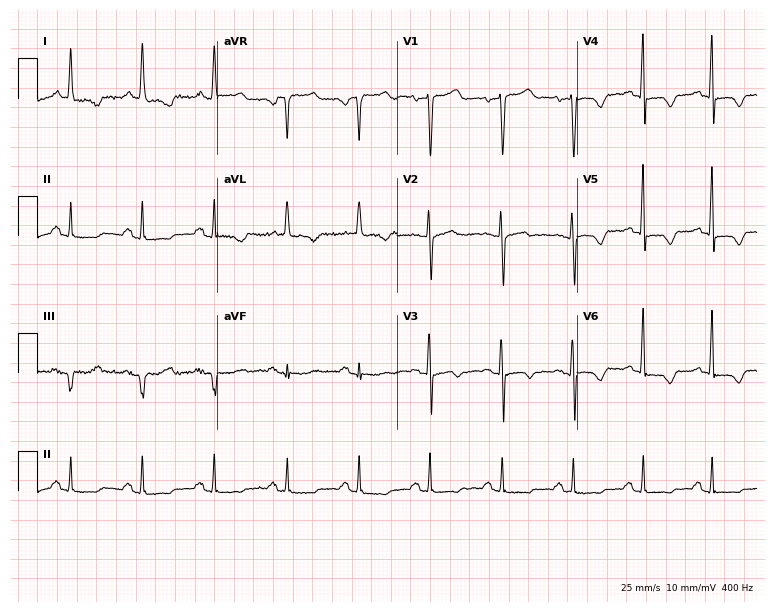
12-lead ECG from a woman, 75 years old. Screened for six findings — first-degree AV block, right bundle branch block (RBBB), left bundle branch block (LBBB), sinus bradycardia, atrial fibrillation (AF), sinus tachycardia — none is recorded.